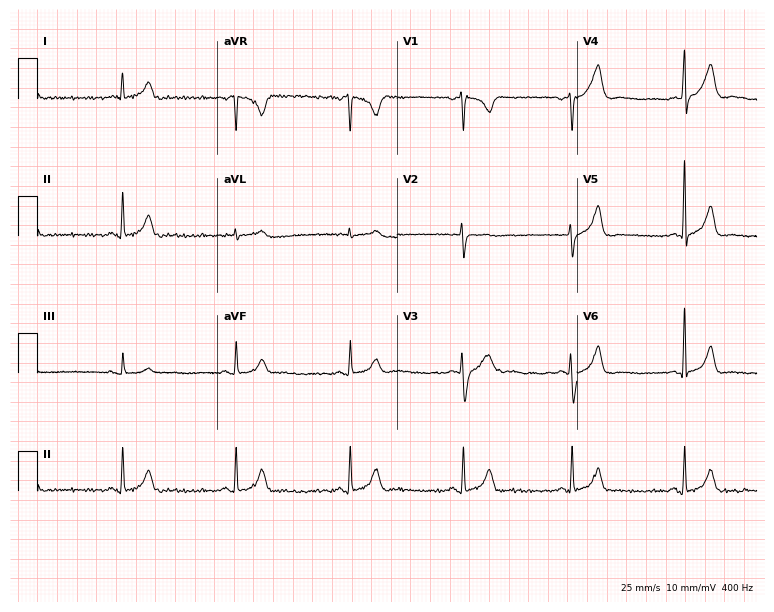
Standard 12-lead ECG recorded from a male patient, 46 years old (7.3-second recording at 400 Hz). Read as a normal ECG.